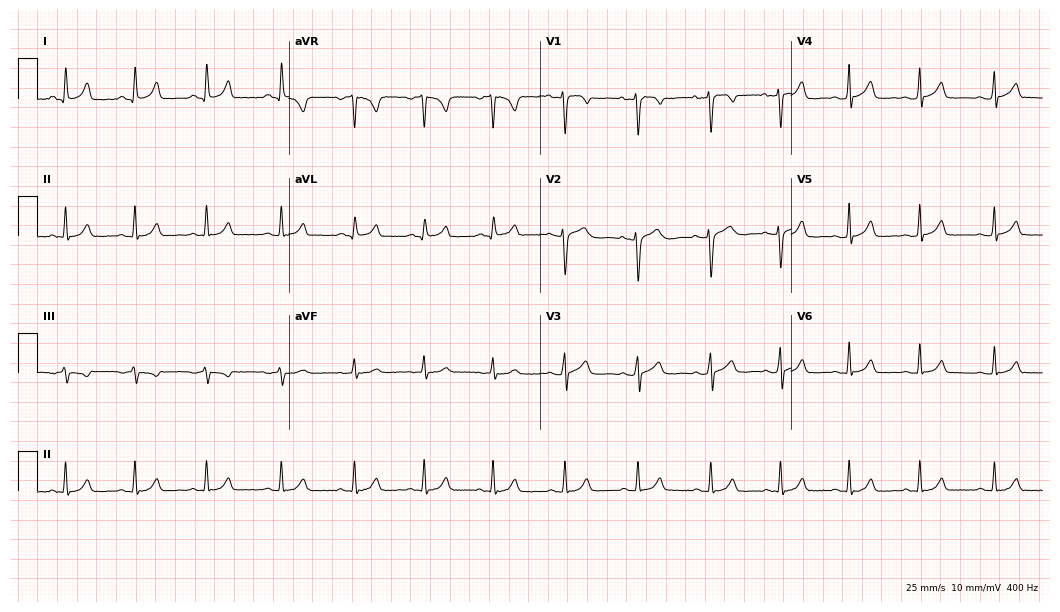
ECG — a female, 20 years old. Screened for six findings — first-degree AV block, right bundle branch block, left bundle branch block, sinus bradycardia, atrial fibrillation, sinus tachycardia — none is recorded.